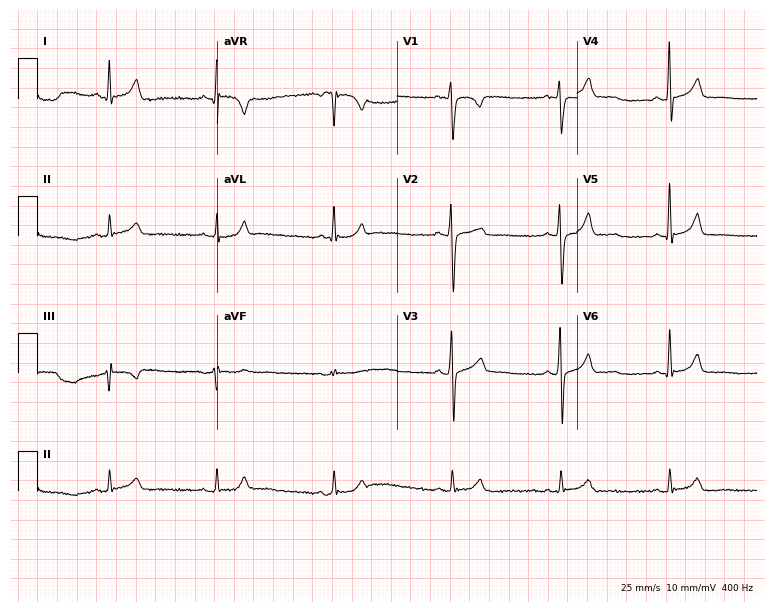
Electrocardiogram (7.3-second recording at 400 Hz), a male, 47 years old. Overall reading on record: normal ECG.